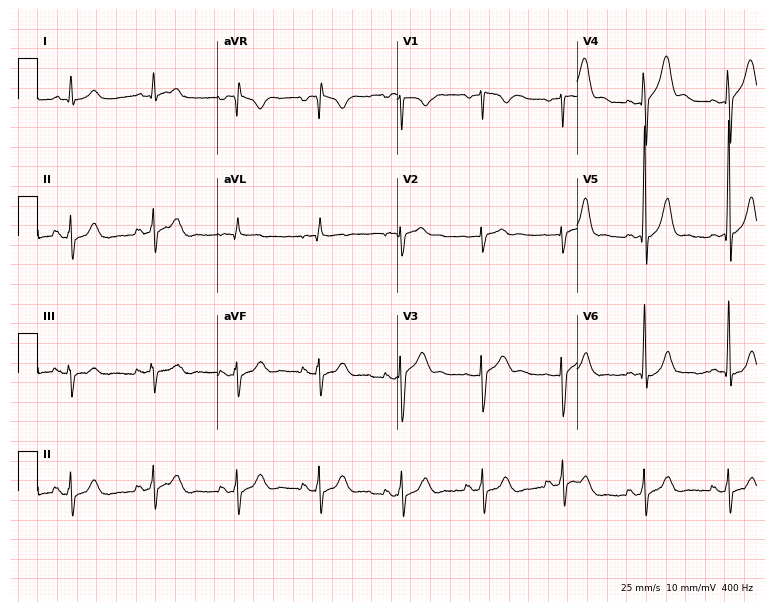
12-lead ECG from a 48-year-old male. No first-degree AV block, right bundle branch block, left bundle branch block, sinus bradycardia, atrial fibrillation or sinus tachycardia recorded for this tracing.